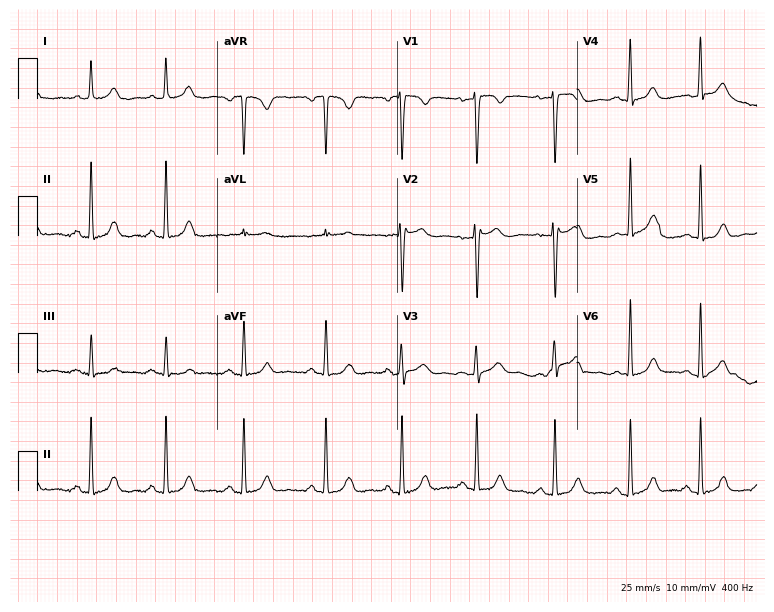
12-lead ECG from a woman, 46 years old. Screened for six findings — first-degree AV block, right bundle branch block (RBBB), left bundle branch block (LBBB), sinus bradycardia, atrial fibrillation (AF), sinus tachycardia — none is recorded.